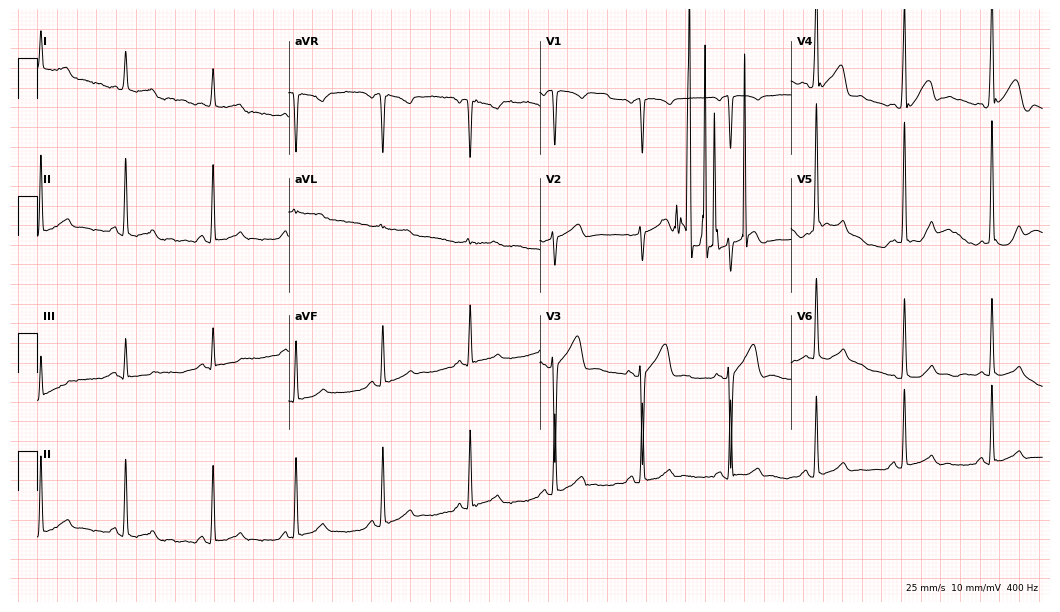
ECG (10.2-second recording at 400 Hz) — a male, 43 years old. Screened for six findings — first-degree AV block, right bundle branch block, left bundle branch block, sinus bradycardia, atrial fibrillation, sinus tachycardia — none is recorded.